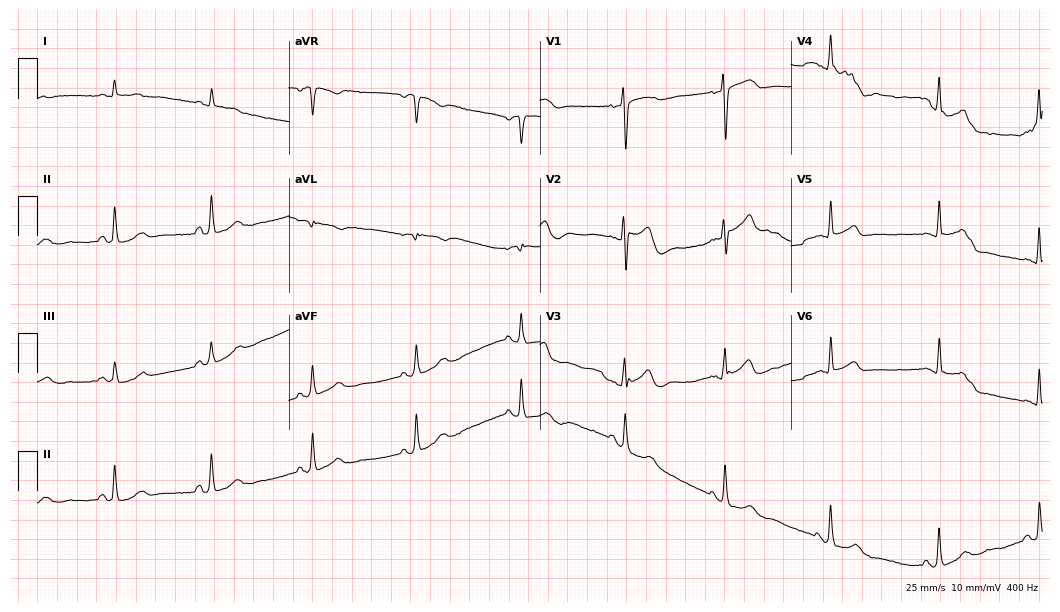
Electrocardiogram, a 71-year-old male. Of the six screened findings (first-degree AV block, right bundle branch block (RBBB), left bundle branch block (LBBB), sinus bradycardia, atrial fibrillation (AF), sinus tachycardia), none is recorded.